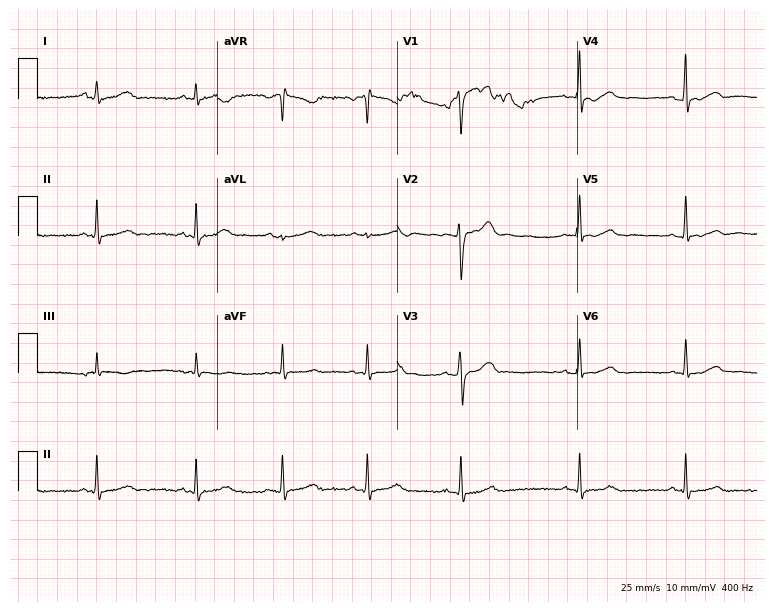
Resting 12-lead electrocardiogram. Patient: a male, 28 years old. None of these six findings is recorded: first-degree AV block, right bundle branch block (RBBB), left bundle branch block (LBBB), sinus bradycardia, atrial fibrillation (AF), sinus tachycardia. Findings outside these six are not listed.